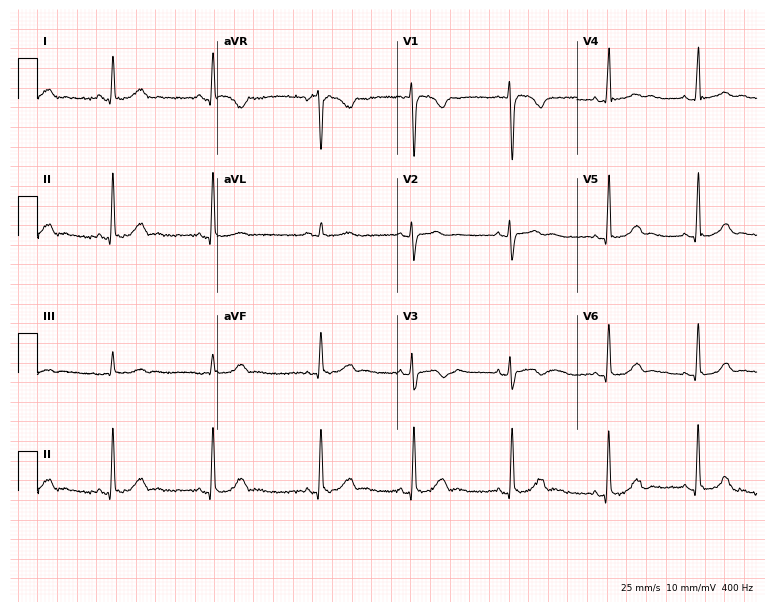
Standard 12-lead ECG recorded from a 22-year-old female patient (7.3-second recording at 400 Hz). Read as a normal ECG.